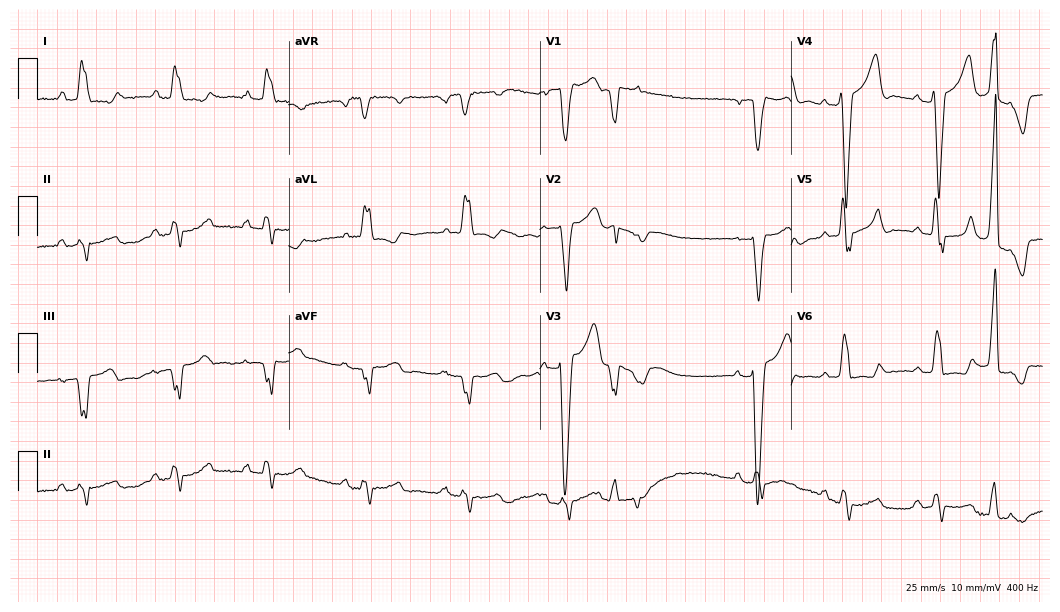
Resting 12-lead electrocardiogram. Patient: an 80-year-old woman. The tracing shows left bundle branch block.